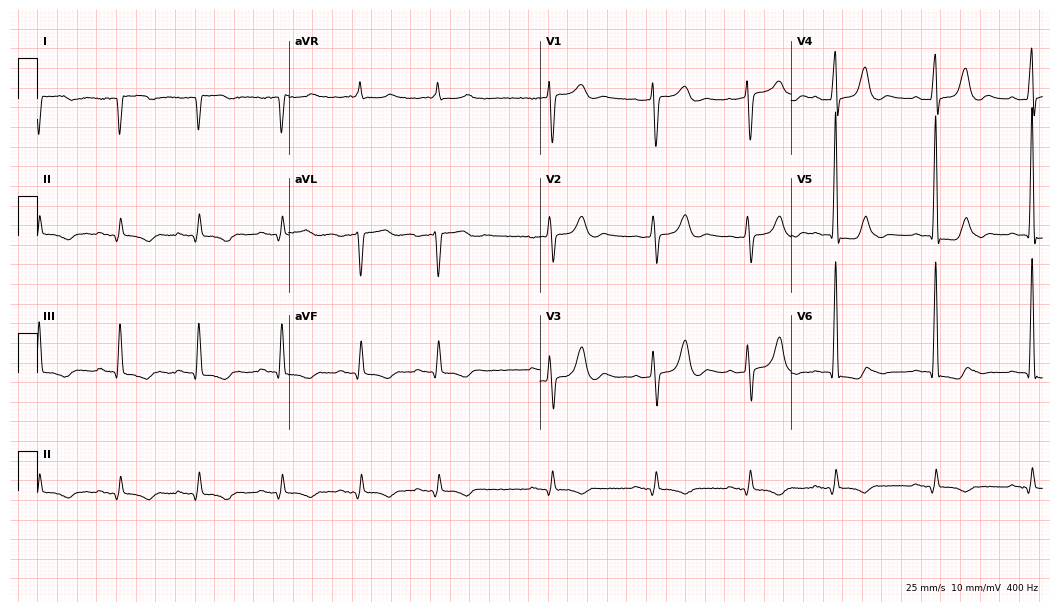
Resting 12-lead electrocardiogram (10.2-second recording at 400 Hz). Patient: a 73-year-old female. None of these six findings is recorded: first-degree AV block, right bundle branch block, left bundle branch block, sinus bradycardia, atrial fibrillation, sinus tachycardia.